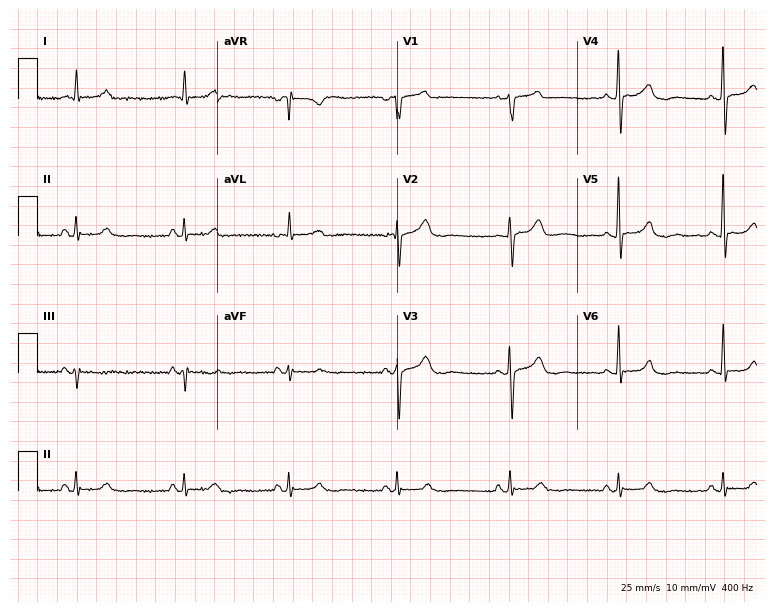
Electrocardiogram, an 81-year-old female patient. Of the six screened findings (first-degree AV block, right bundle branch block (RBBB), left bundle branch block (LBBB), sinus bradycardia, atrial fibrillation (AF), sinus tachycardia), none is recorded. Other findings, if any, are not listed.